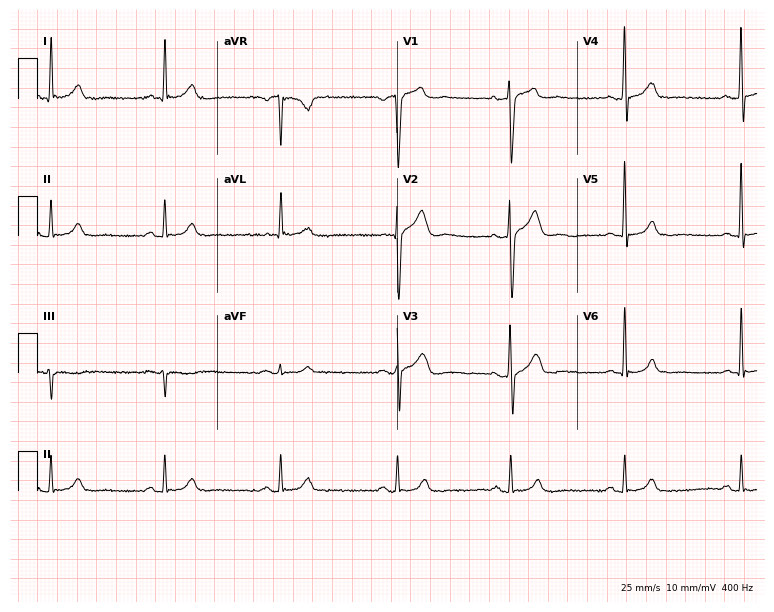
Electrocardiogram, a 53-year-old male patient. Overall reading on record: normal ECG.